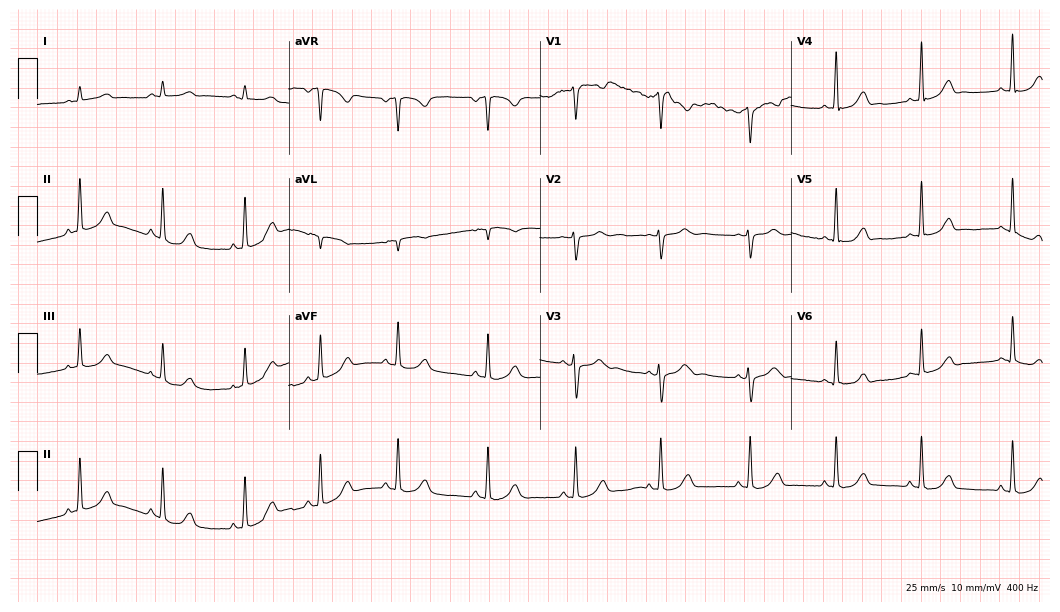
Standard 12-lead ECG recorded from a female, 23 years old (10.2-second recording at 400 Hz). Read as a normal ECG.